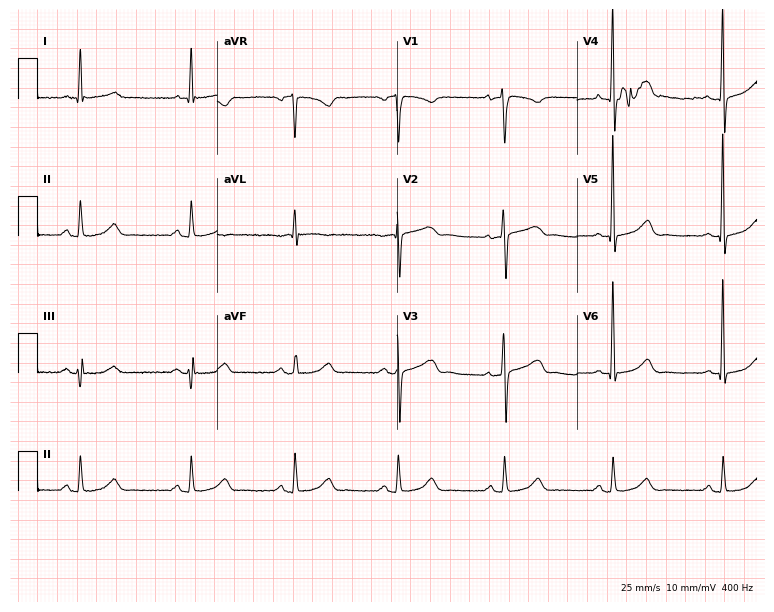
Resting 12-lead electrocardiogram (7.3-second recording at 400 Hz). Patient: a female, 50 years old. Read as a normal ECG.